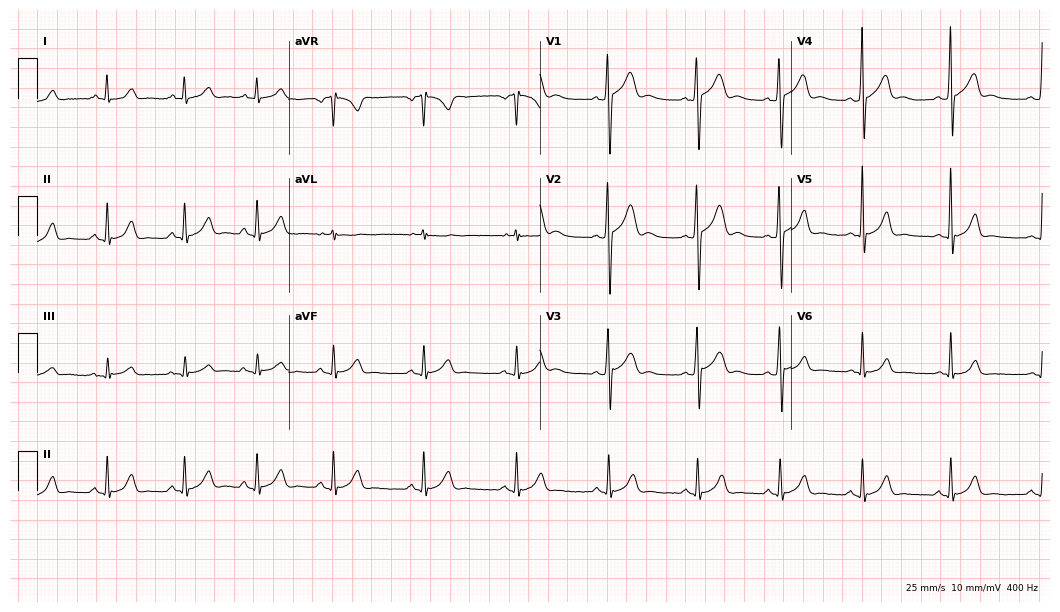
Electrocardiogram (10.2-second recording at 400 Hz), a man, 17 years old. Overall reading on record: normal ECG.